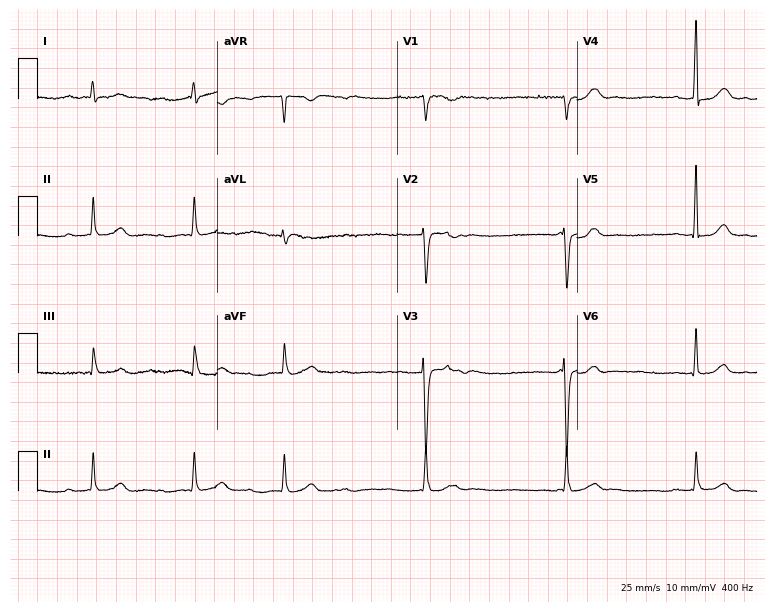
Standard 12-lead ECG recorded from a 40-year-old woman (7.3-second recording at 400 Hz). The tracing shows atrial fibrillation (AF).